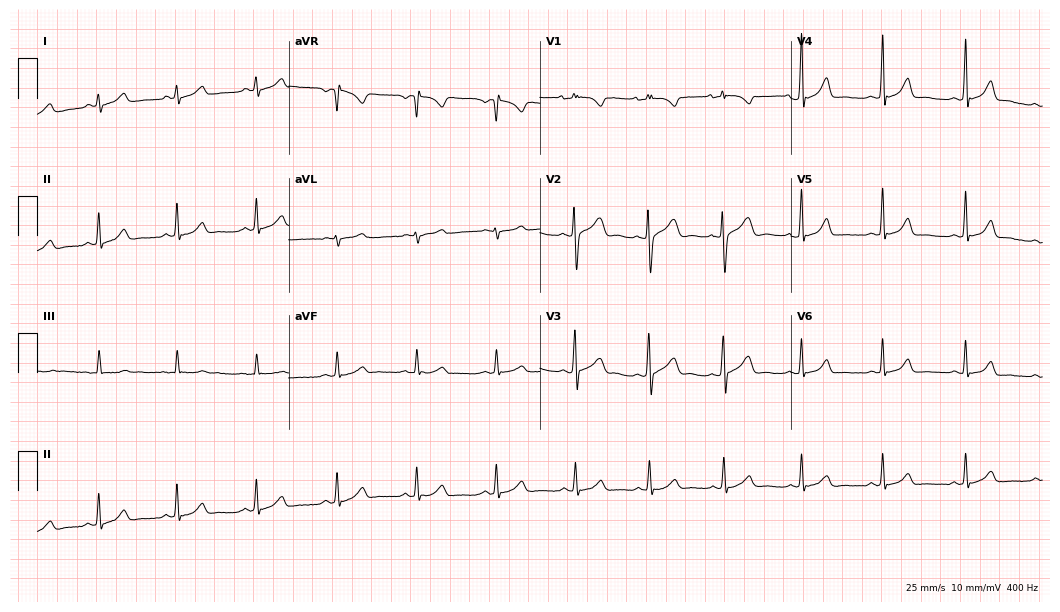
12-lead ECG from a female patient, 18 years old. Labelled as a normal ECG.